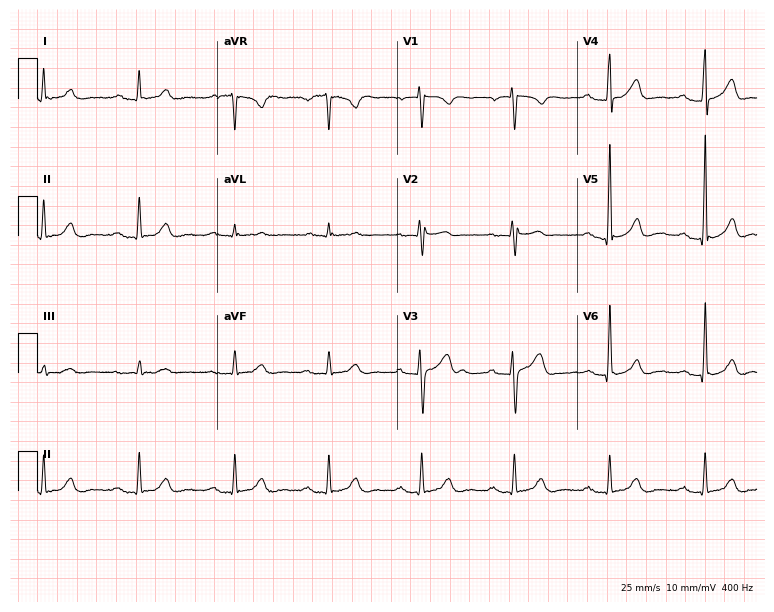
Standard 12-lead ECG recorded from a 57-year-old male. The tracing shows first-degree AV block.